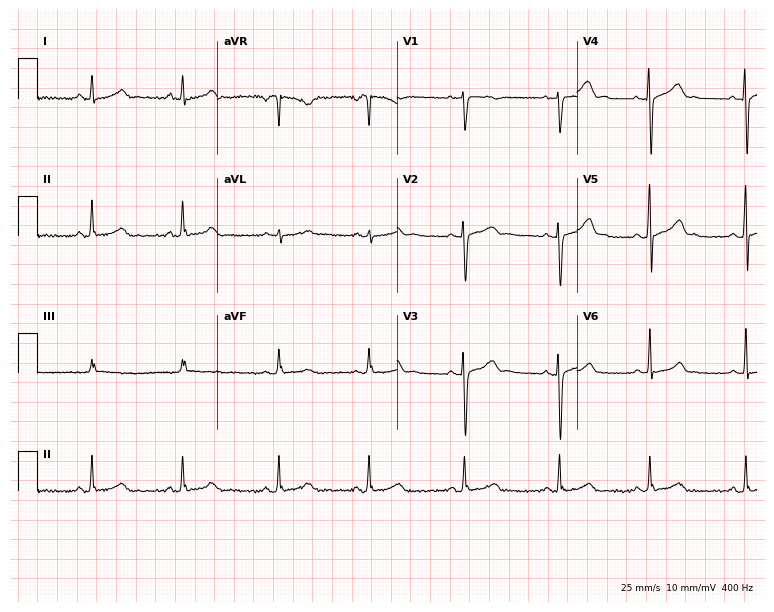
Standard 12-lead ECG recorded from a female patient, 35 years old. Read as a normal ECG.